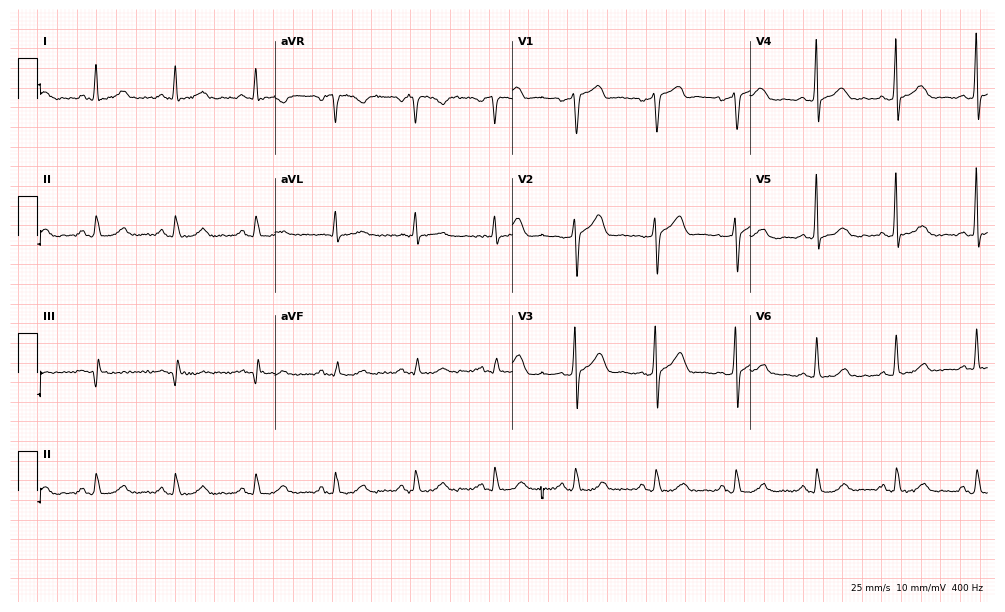
ECG (9.7-second recording at 400 Hz) — a 56-year-old male patient. Labelled as a normal ECG.